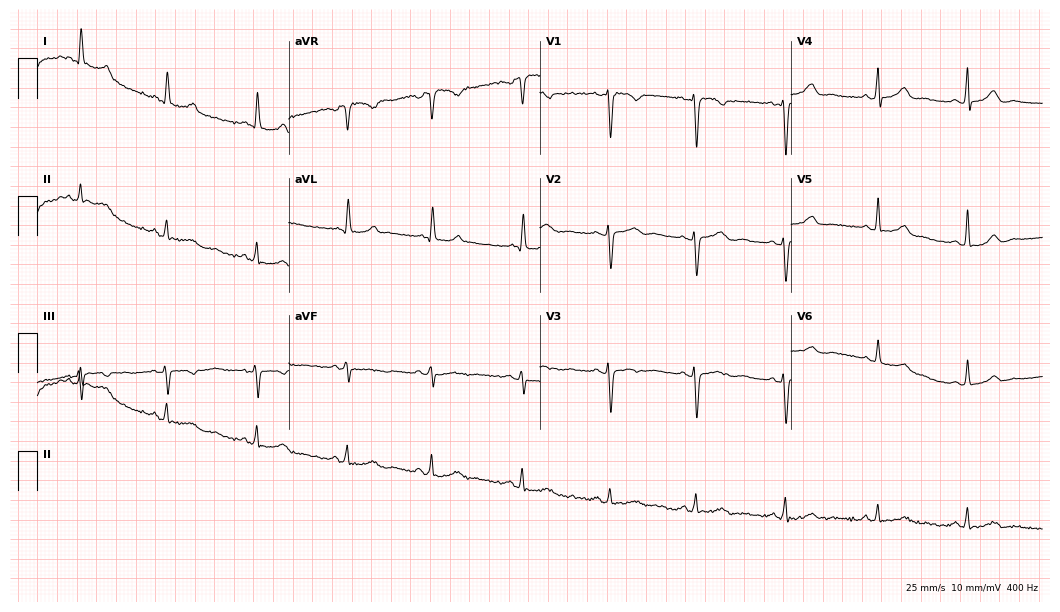
Resting 12-lead electrocardiogram (10.2-second recording at 400 Hz). Patient: a 45-year-old woman. None of these six findings is recorded: first-degree AV block, right bundle branch block, left bundle branch block, sinus bradycardia, atrial fibrillation, sinus tachycardia. Only these six findings were labelled.